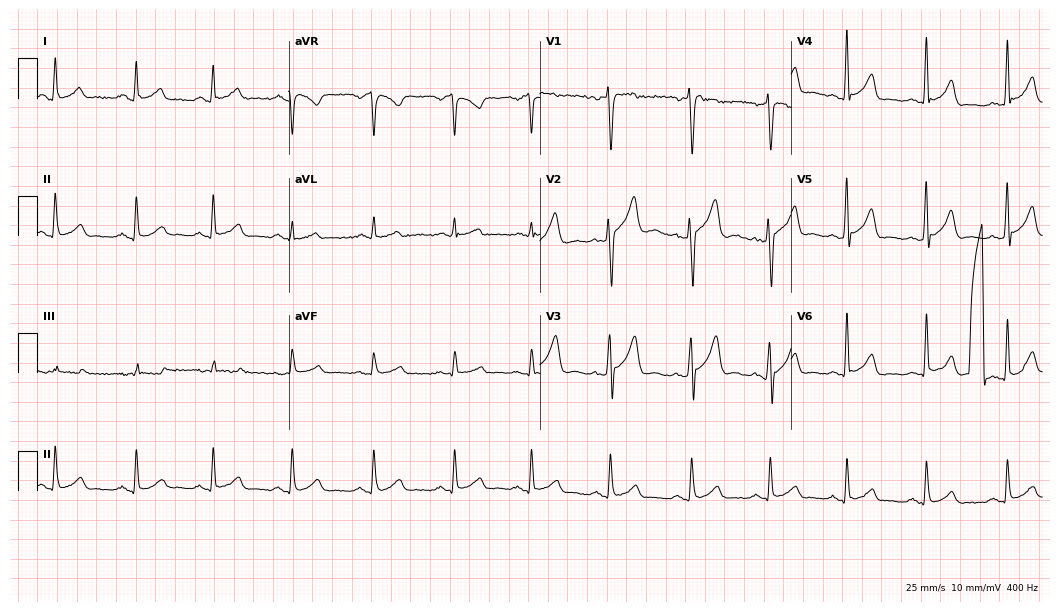
Standard 12-lead ECG recorded from a 35-year-old male patient (10.2-second recording at 400 Hz). Read as a normal ECG.